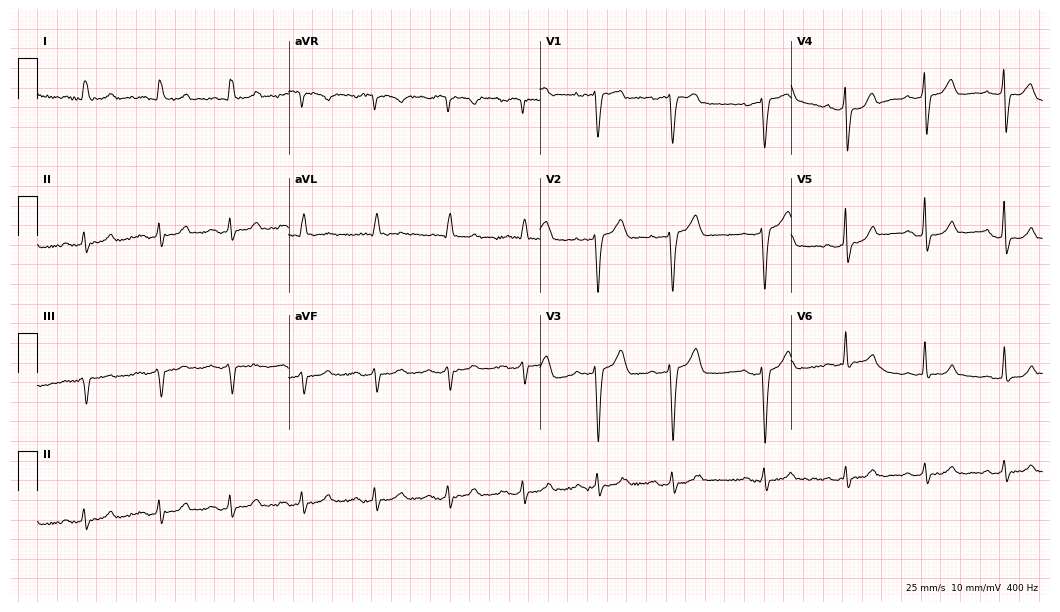
Resting 12-lead electrocardiogram. Patient: a male, 77 years old. None of these six findings is recorded: first-degree AV block, right bundle branch block (RBBB), left bundle branch block (LBBB), sinus bradycardia, atrial fibrillation (AF), sinus tachycardia.